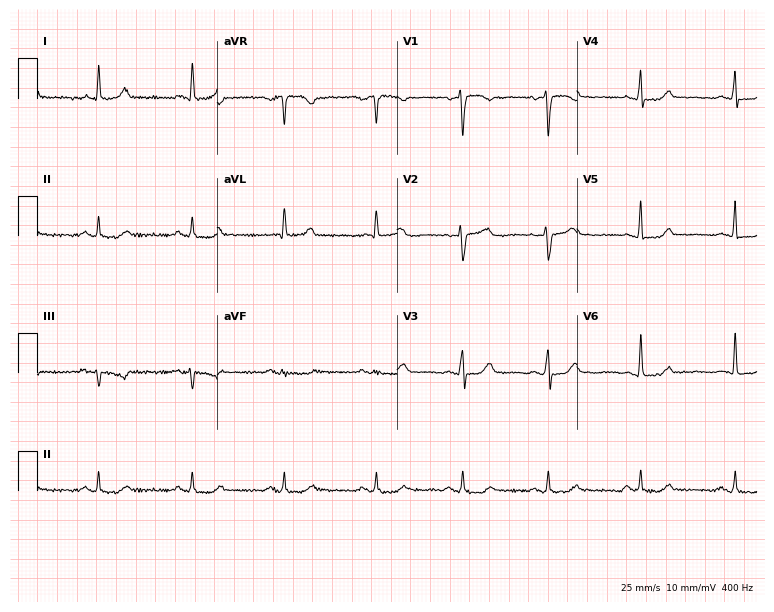
Resting 12-lead electrocardiogram (7.3-second recording at 400 Hz). Patient: a female, 54 years old. None of these six findings is recorded: first-degree AV block, right bundle branch block, left bundle branch block, sinus bradycardia, atrial fibrillation, sinus tachycardia. Other findings, if any, are not listed.